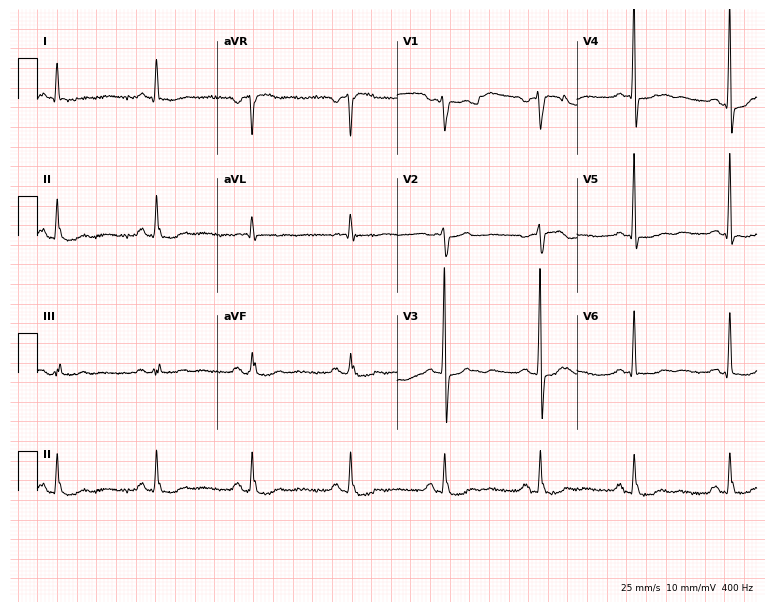
12-lead ECG (7.3-second recording at 400 Hz) from a male patient, 73 years old. Screened for six findings — first-degree AV block, right bundle branch block, left bundle branch block, sinus bradycardia, atrial fibrillation, sinus tachycardia — none is recorded. Findings outside these six are not listed.